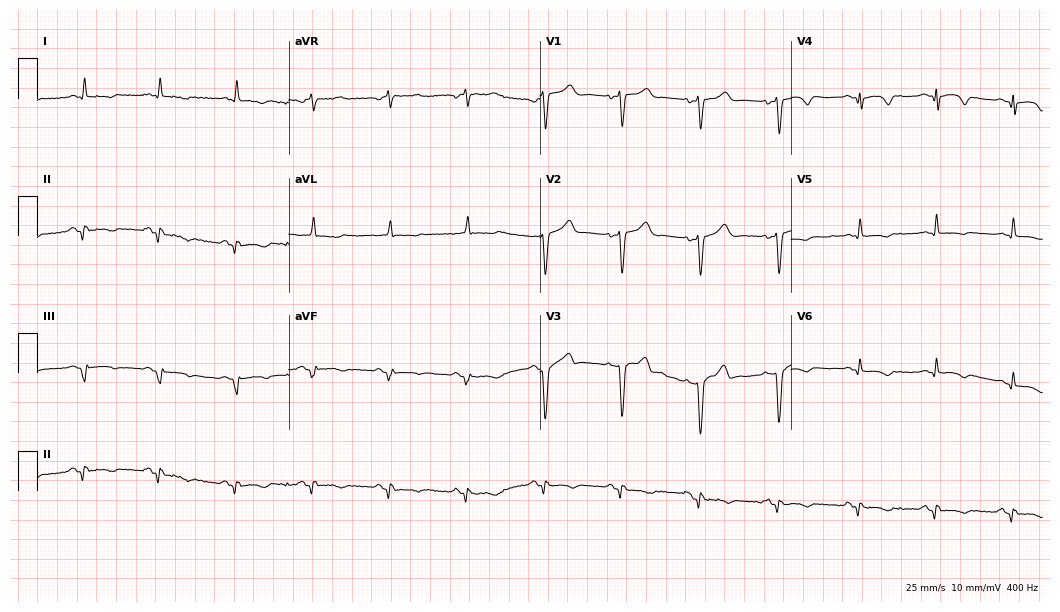
ECG (10.2-second recording at 400 Hz) — a 65-year-old male. Screened for six findings — first-degree AV block, right bundle branch block, left bundle branch block, sinus bradycardia, atrial fibrillation, sinus tachycardia — none is recorded.